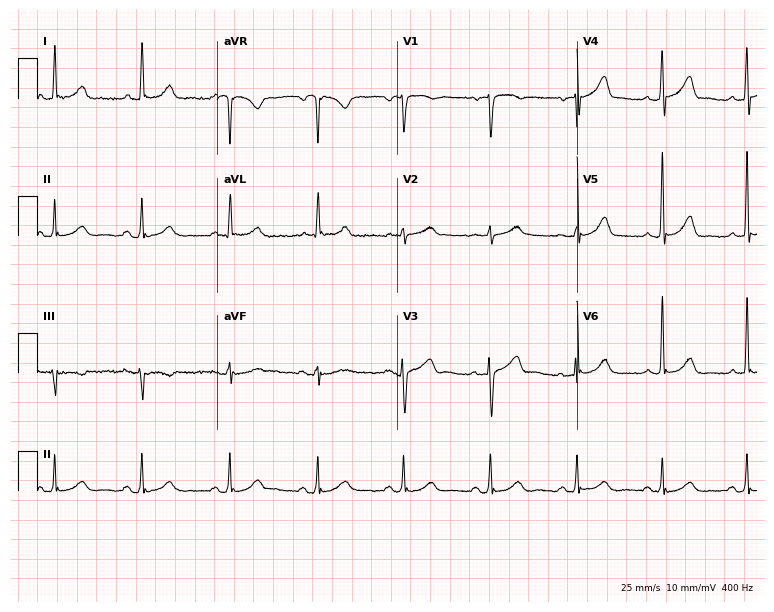
ECG (7.3-second recording at 400 Hz) — a 64-year-old woman. Labelled as a normal ECG.